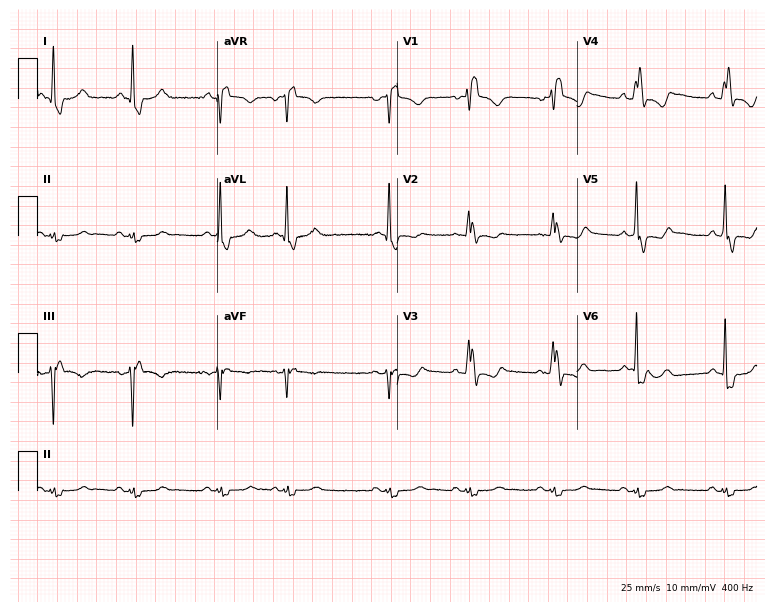
Resting 12-lead electrocardiogram. Patient: a male, 63 years old. The tracing shows right bundle branch block.